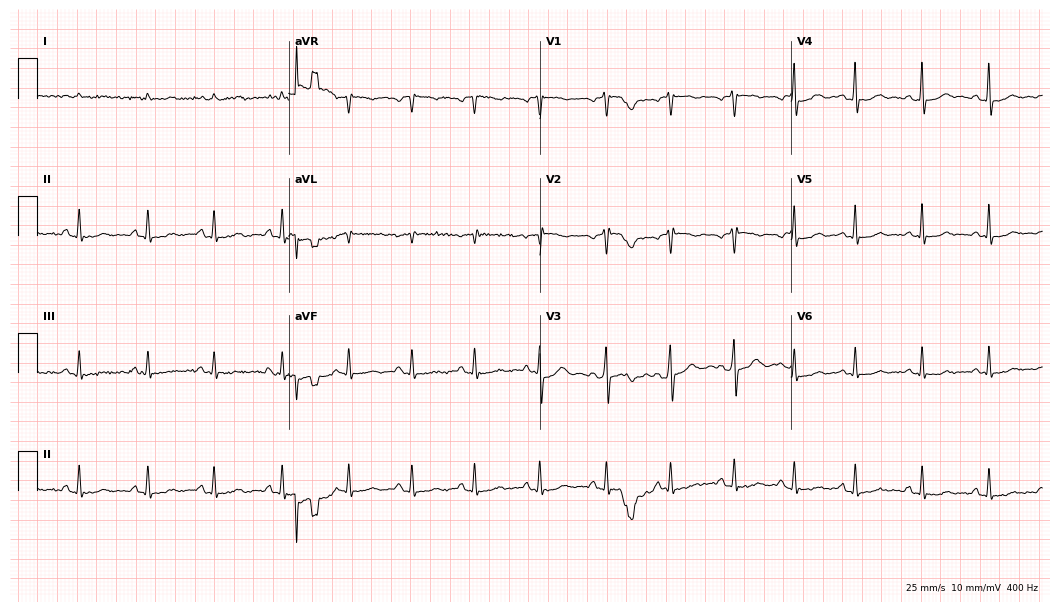
Resting 12-lead electrocardiogram. Patient: a female, 18 years old. None of these six findings is recorded: first-degree AV block, right bundle branch block (RBBB), left bundle branch block (LBBB), sinus bradycardia, atrial fibrillation (AF), sinus tachycardia. Only these six findings were labelled.